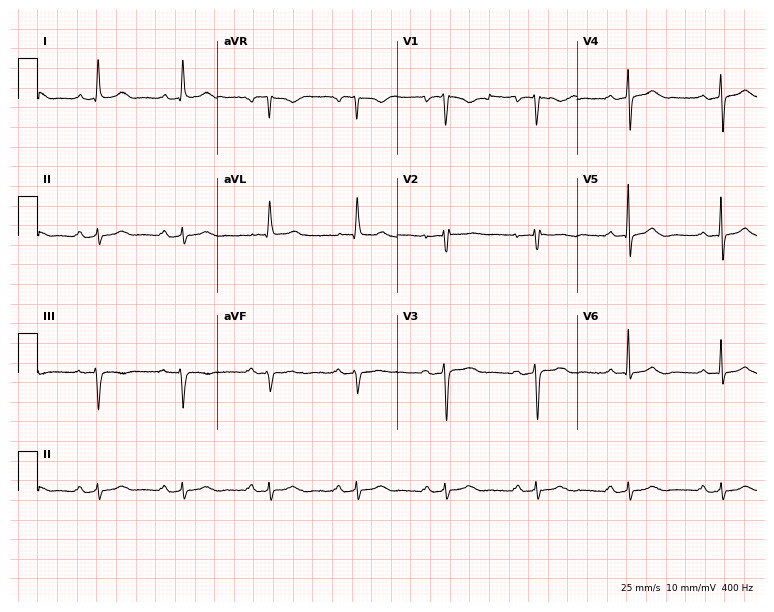
12-lead ECG from a male patient, 75 years old (7.3-second recording at 400 Hz). No first-degree AV block, right bundle branch block (RBBB), left bundle branch block (LBBB), sinus bradycardia, atrial fibrillation (AF) or sinus tachycardia recorded for this tracing. Findings outside these six are not listed.